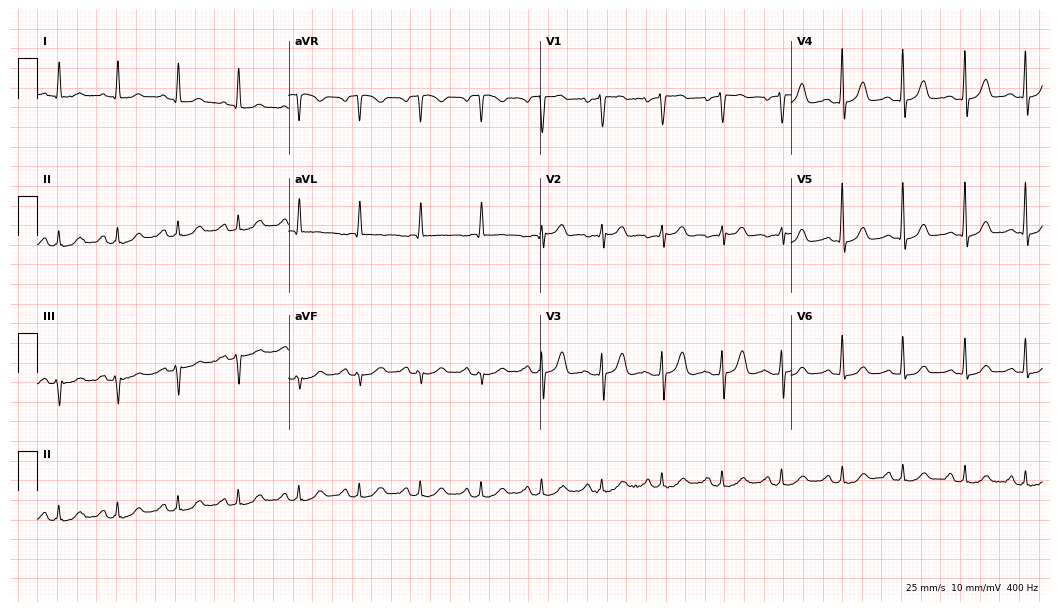
ECG (10.2-second recording at 400 Hz) — a female patient, 68 years old. Labelled as a normal ECG.